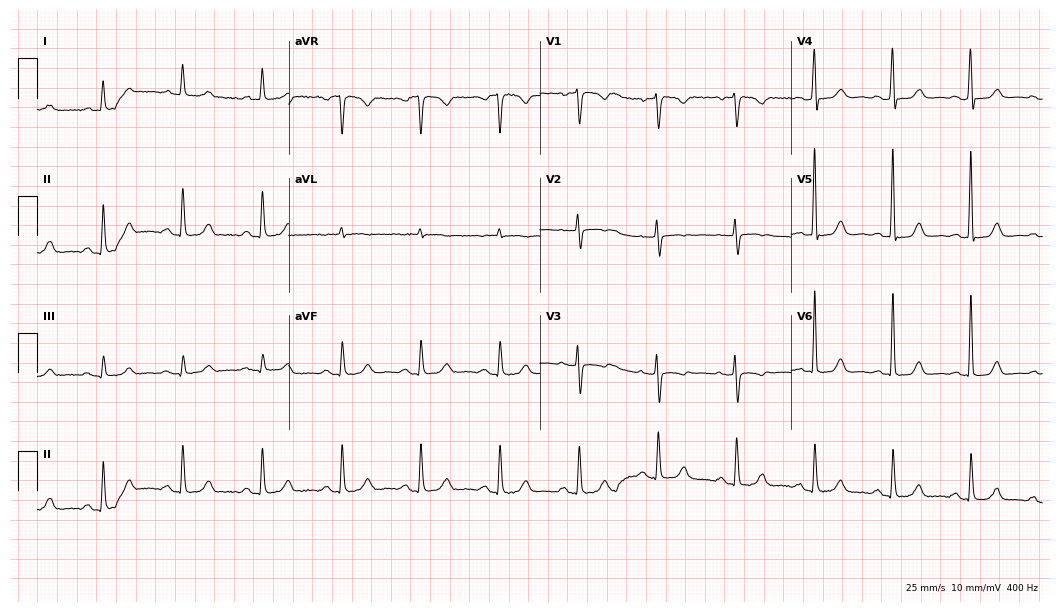
Standard 12-lead ECG recorded from an 80-year-old woman (10.2-second recording at 400 Hz). None of these six findings is recorded: first-degree AV block, right bundle branch block, left bundle branch block, sinus bradycardia, atrial fibrillation, sinus tachycardia.